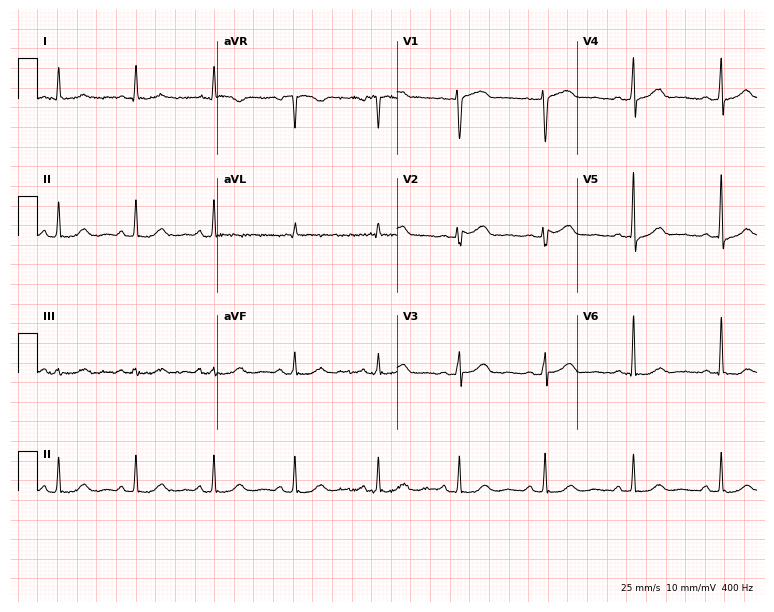
ECG (7.3-second recording at 400 Hz) — a 54-year-old woman. Screened for six findings — first-degree AV block, right bundle branch block, left bundle branch block, sinus bradycardia, atrial fibrillation, sinus tachycardia — none is recorded.